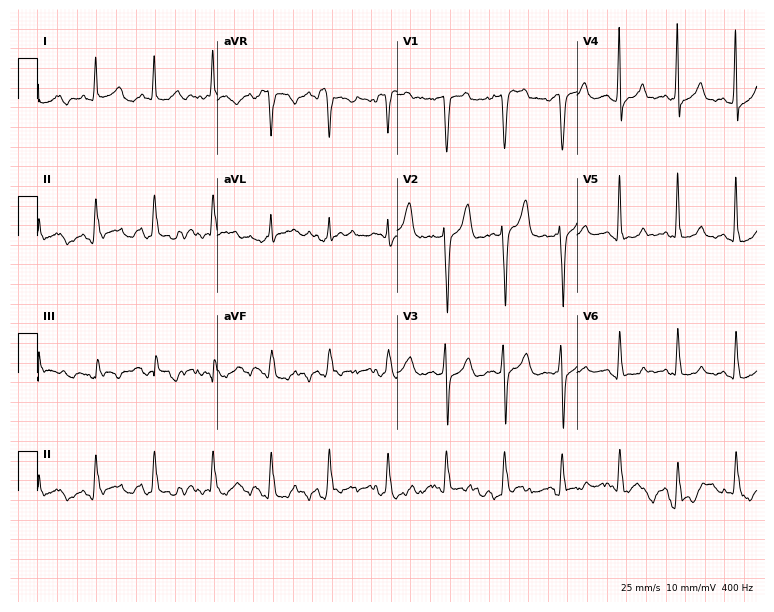
Resting 12-lead electrocardiogram (7.3-second recording at 400 Hz). Patient: a 74-year-old man. None of these six findings is recorded: first-degree AV block, right bundle branch block, left bundle branch block, sinus bradycardia, atrial fibrillation, sinus tachycardia. Only these six findings were labelled.